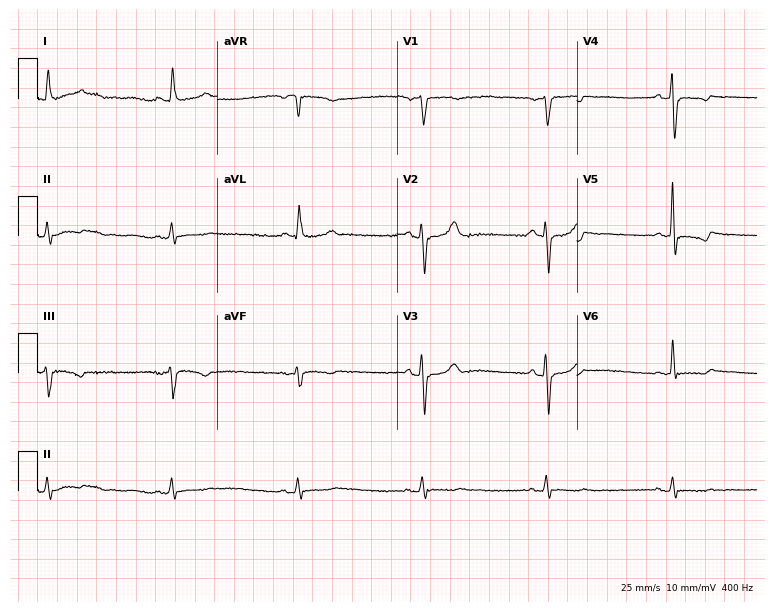
12-lead ECG (7.3-second recording at 400 Hz) from a female, 82 years old. Screened for six findings — first-degree AV block, right bundle branch block, left bundle branch block, sinus bradycardia, atrial fibrillation, sinus tachycardia — none is recorded.